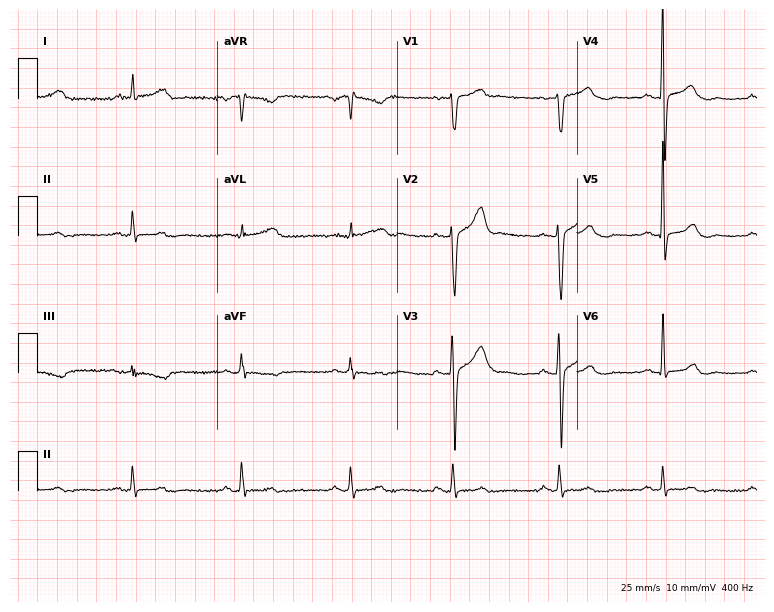
Electrocardiogram (7.3-second recording at 400 Hz), a male patient, 47 years old. Of the six screened findings (first-degree AV block, right bundle branch block, left bundle branch block, sinus bradycardia, atrial fibrillation, sinus tachycardia), none is recorded. Other findings, if any, are not listed.